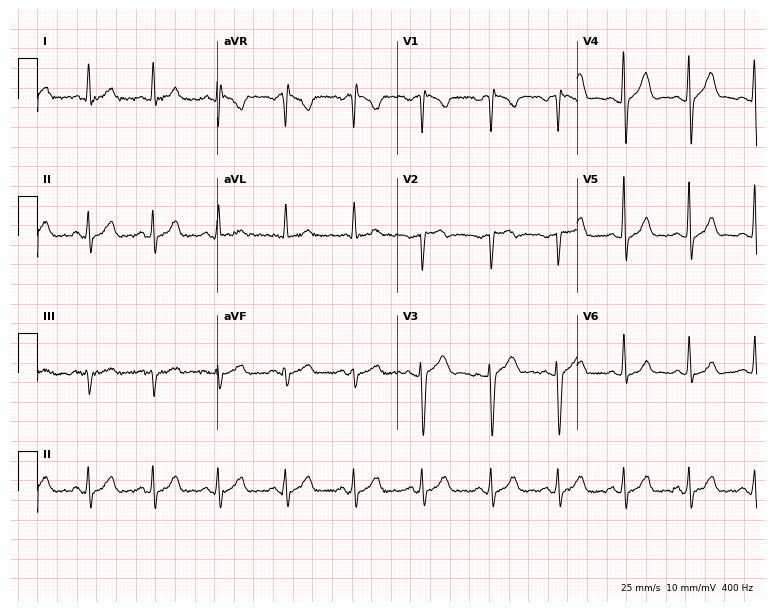
Electrocardiogram, a 42-year-old male. Of the six screened findings (first-degree AV block, right bundle branch block, left bundle branch block, sinus bradycardia, atrial fibrillation, sinus tachycardia), none is recorded.